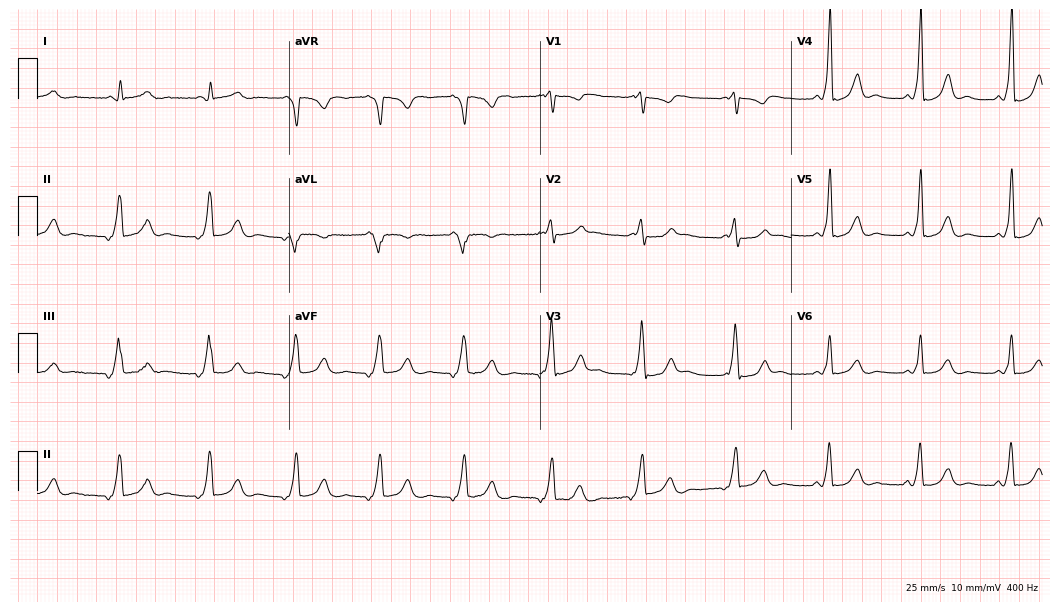
Standard 12-lead ECG recorded from a 47-year-old female patient. None of these six findings is recorded: first-degree AV block, right bundle branch block, left bundle branch block, sinus bradycardia, atrial fibrillation, sinus tachycardia. Only these six findings were labelled.